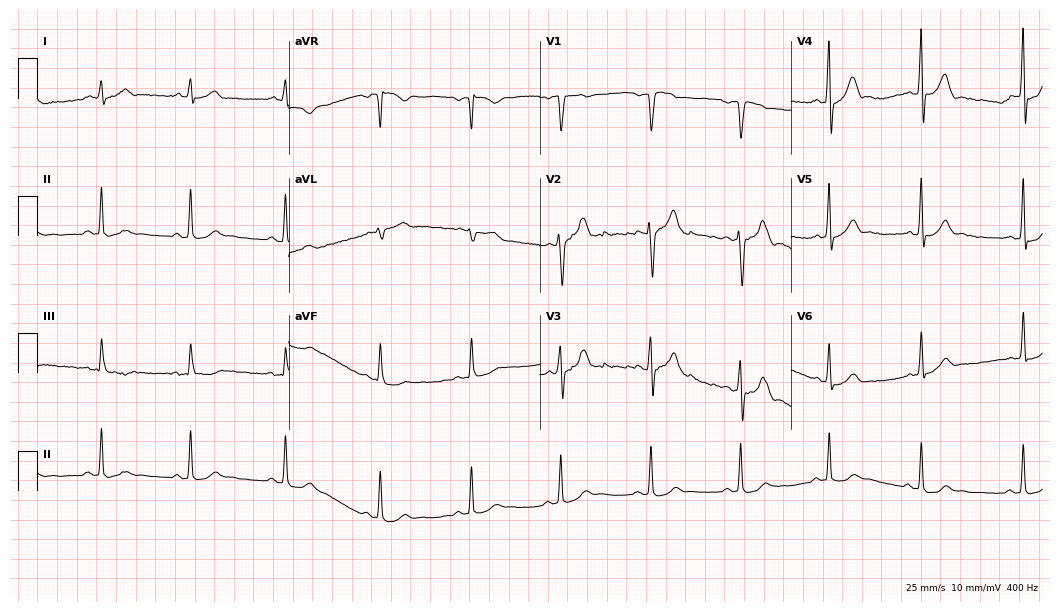
12-lead ECG from a 36-year-old female. Labelled as a normal ECG.